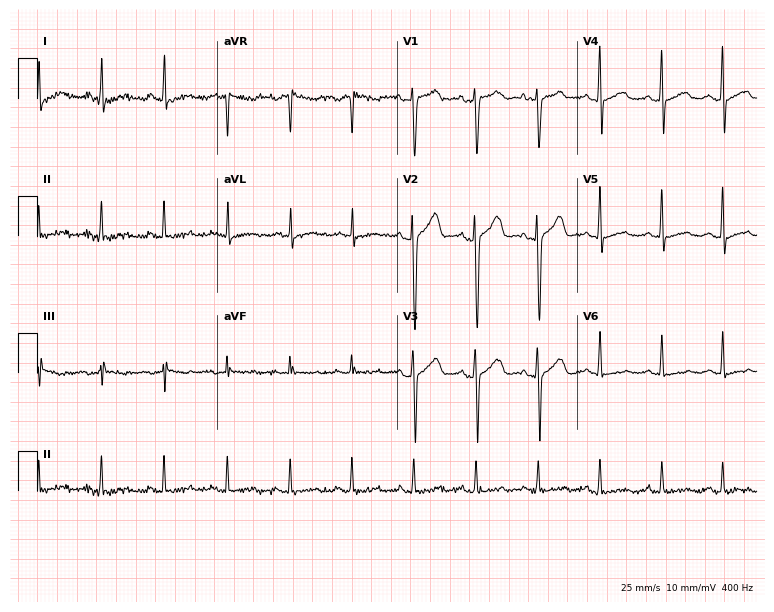
12-lead ECG from a 31-year-old female. No first-degree AV block, right bundle branch block, left bundle branch block, sinus bradycardia, atrial fibrillation or sinus tachycardia recorded for this tracing.